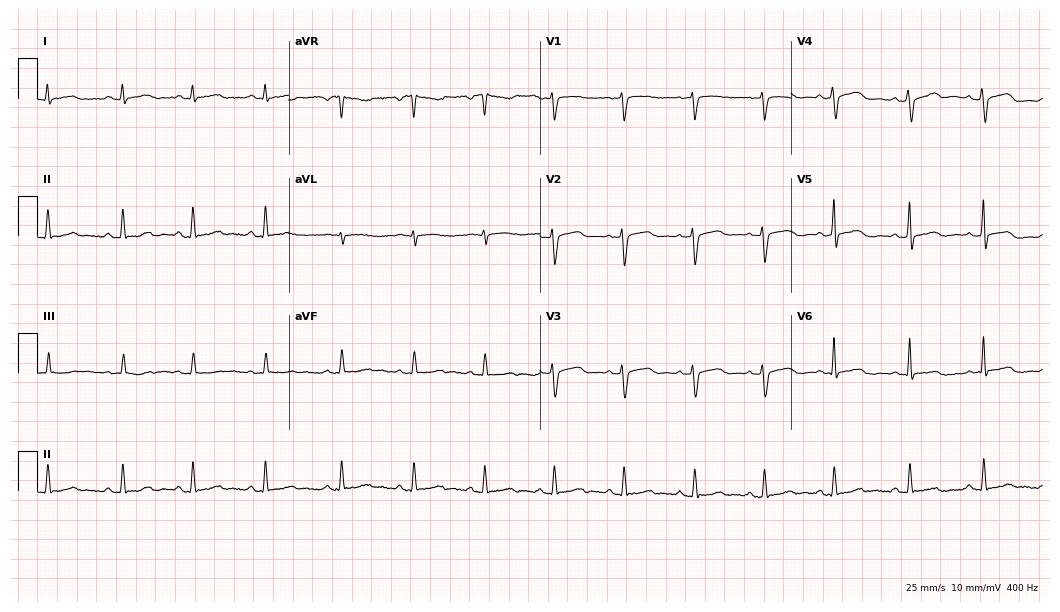
Standard 12-lead ECG recorded from a female, 35 years old. Read as a normal ECG.